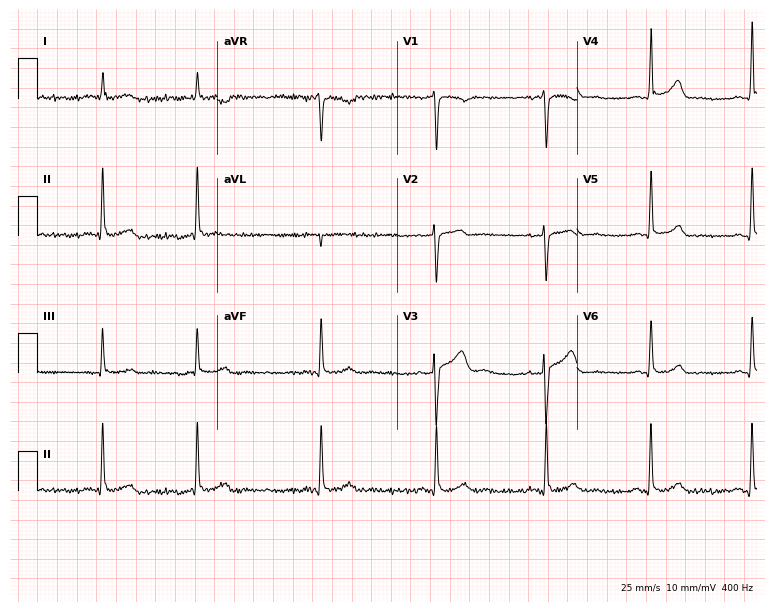
Electrocardiogram, a man, 43 years old. Overall reading on record: normal ECG.